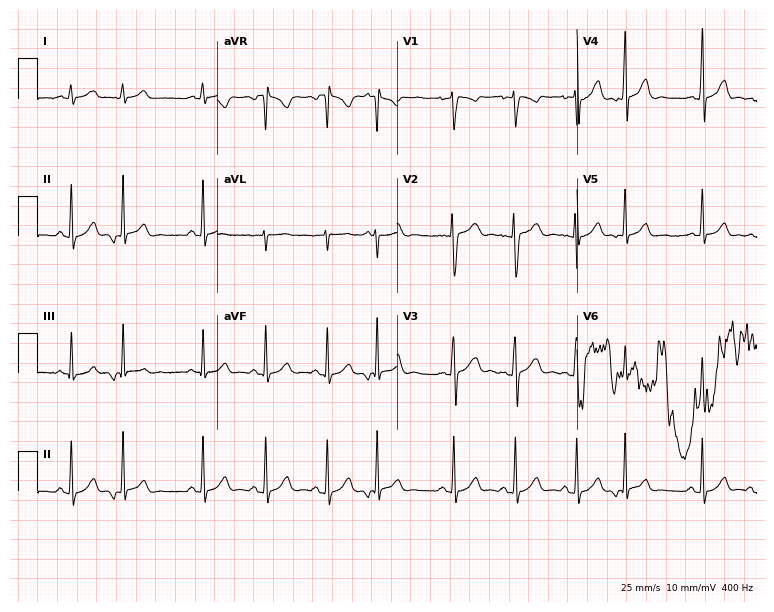
Resting 12-lead electrocardiogram (7.3-second recording at 400 Hz). Patient: a woman, 19 years old. None of these six findings is recorded: first-degree AV block, right bundle branch block (RBBB), left bundle branch block (LBBB), sinus bradycardia, atrial fibrillation (AF), sinus tachycardia.